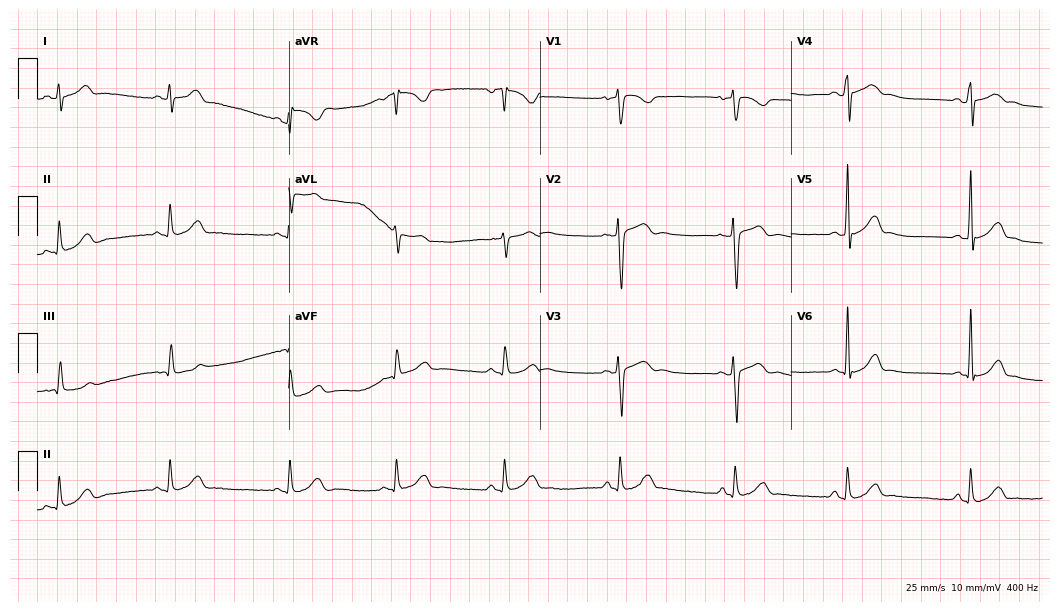
12-lead ECG (10.2-second recording at 400 Hz) from a male patient, 19 years old. Labelled as a normal ECG.